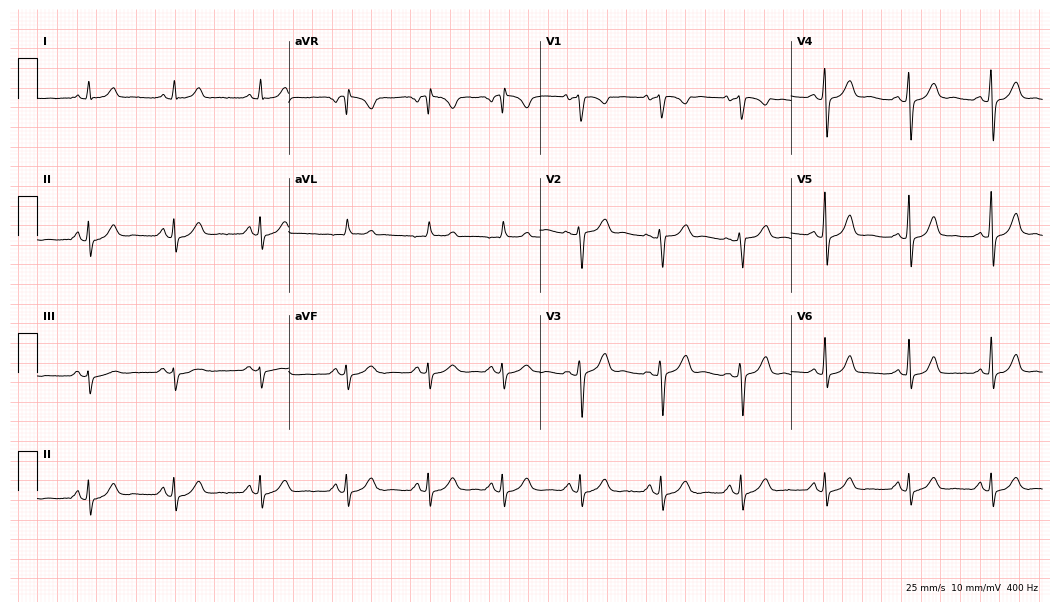
Electrocardiogram (10.2-second recording at 400 Hz), a 34-year-old woman. Of the six screened findings (first-degree AV block, right bundle branch block (RBBB), left bundle branch block (LBBB), sinus bradycardia, atrial fibrillation (AF), sinus tachycardia), none is recorded. Findings outside these six are not listed.